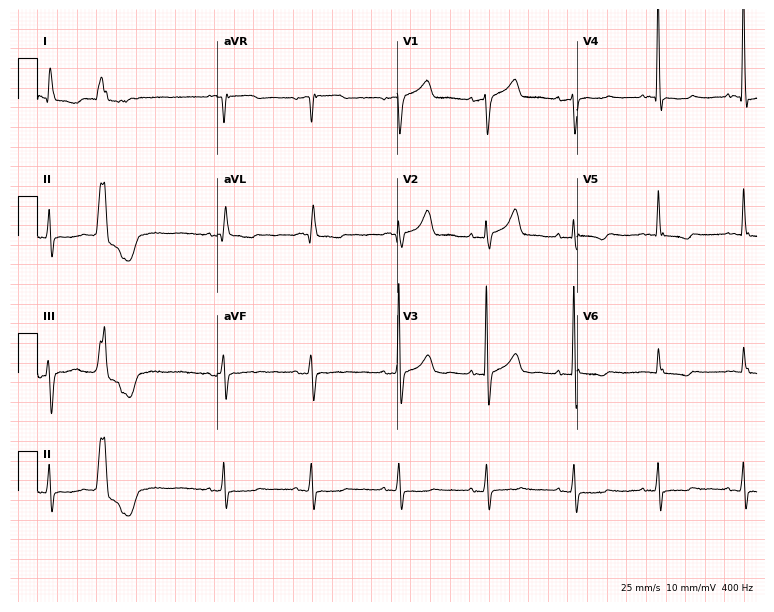
Electrocardiogram (7.3-second recording at 400 Hz), an 81-year-old woman. Of the six screened findings (first-degree AV block, right bundle branch block, left bundle branch block, sinus bradycardia, atrial fibrillation, sinus tachycardia), none is recorded. Only these six findings were labelled.